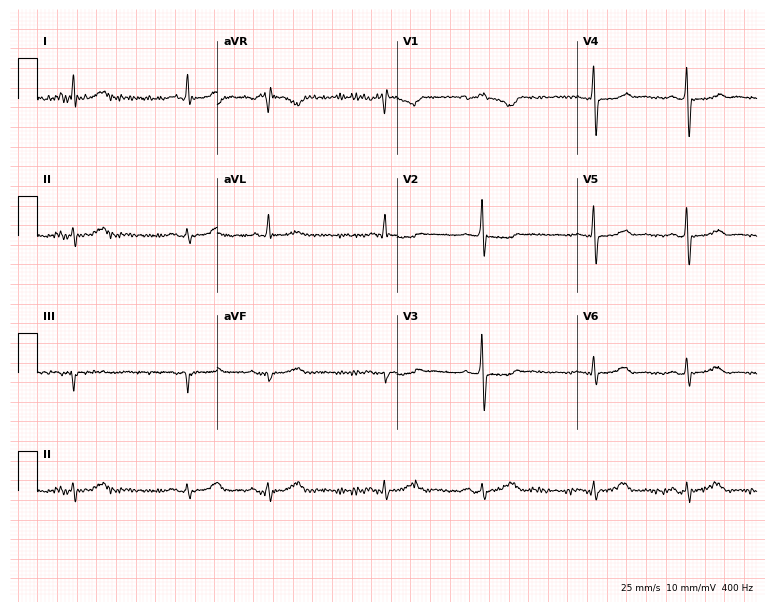
12-lead ECG from a 66-year-old male patient. No first-degree AV block, right bundle branch block, left bundle branch block, sinus bradycardia, atrial fibrillation or sinus tachycardia recorded for this tracing.